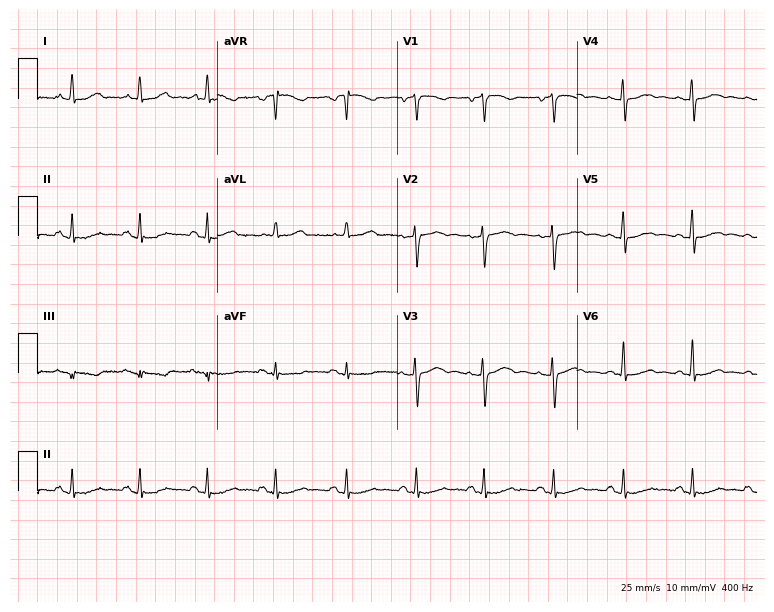
Electrocardiogram, a woman, 55 years old. Overall reading on record: normal ECG.